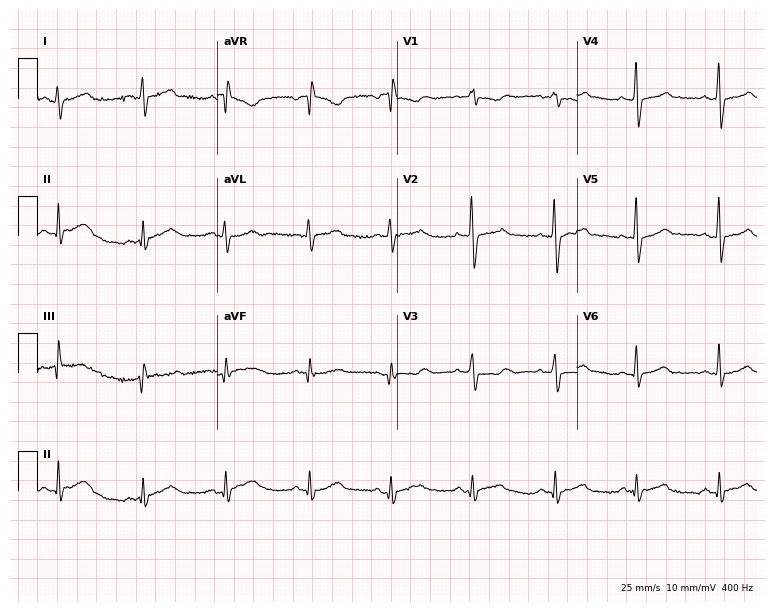
12-lead ECG from a 41-year-old woman (7.3-second recording at 400 Hz). Recorded interpretation: within normal limits.